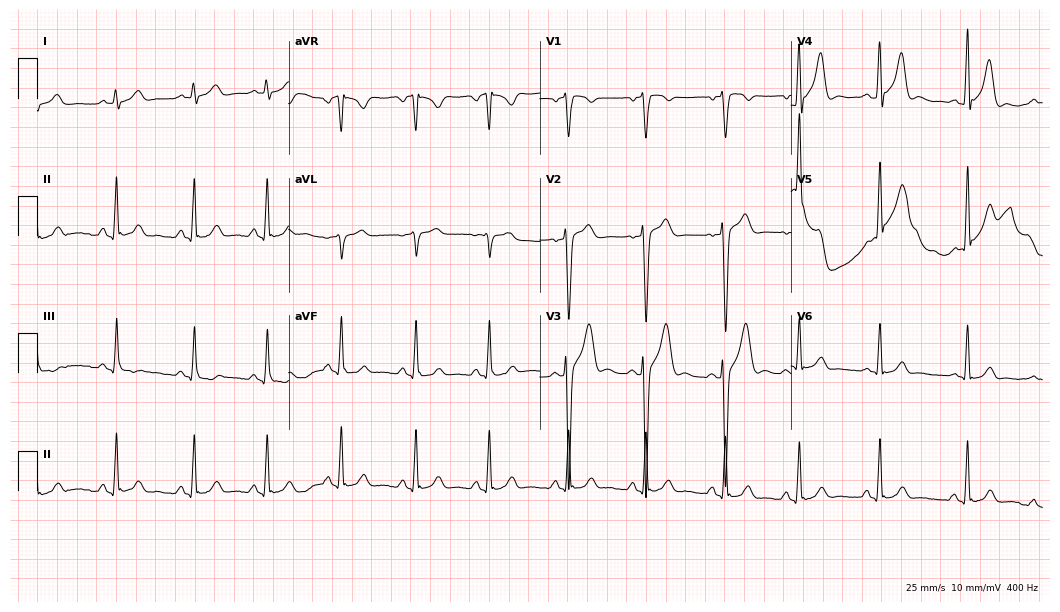
ECG — a 26-year-old male patient. Screened for six findings — first-degree AV block, right bundle branch block, left bundle branch block, sinus bradycardia, atrial fibrillation, sinus tachycardia — none is recorded. Other findings, if any, are not listed.